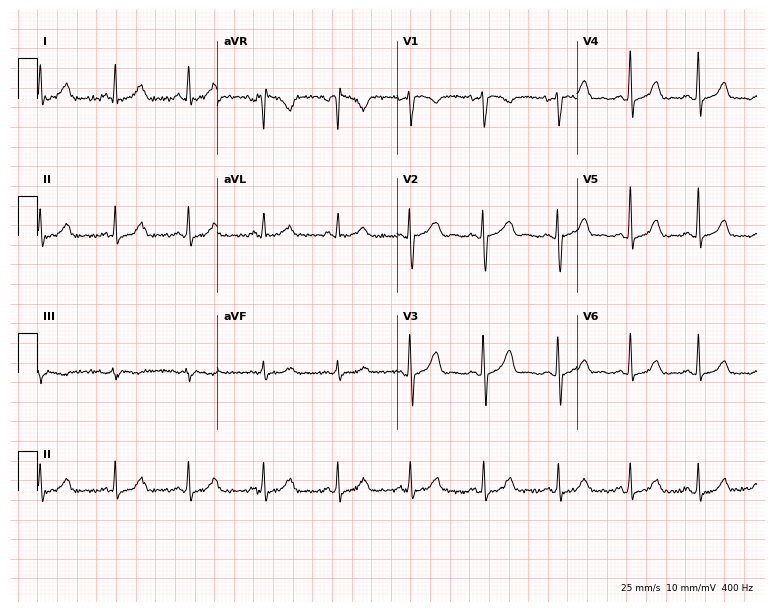
12-lead ECG from a 44-year-old female patient. Recorded interpretation: within normal limits.